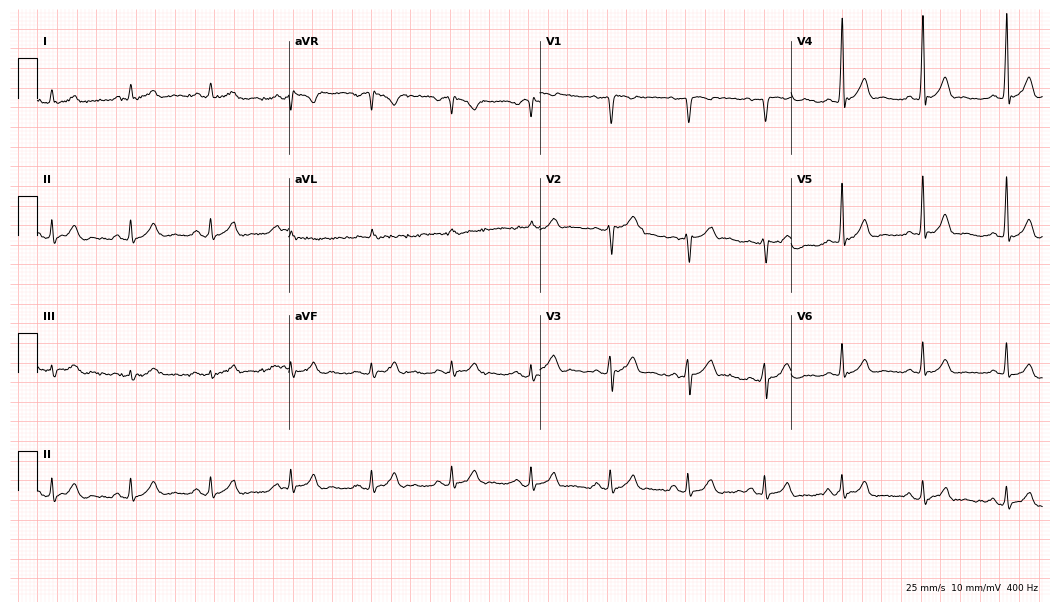
ECG (10.2-second recording at 400 Hz) — a 60-year-old male patient. Labelled as a normal ECG.